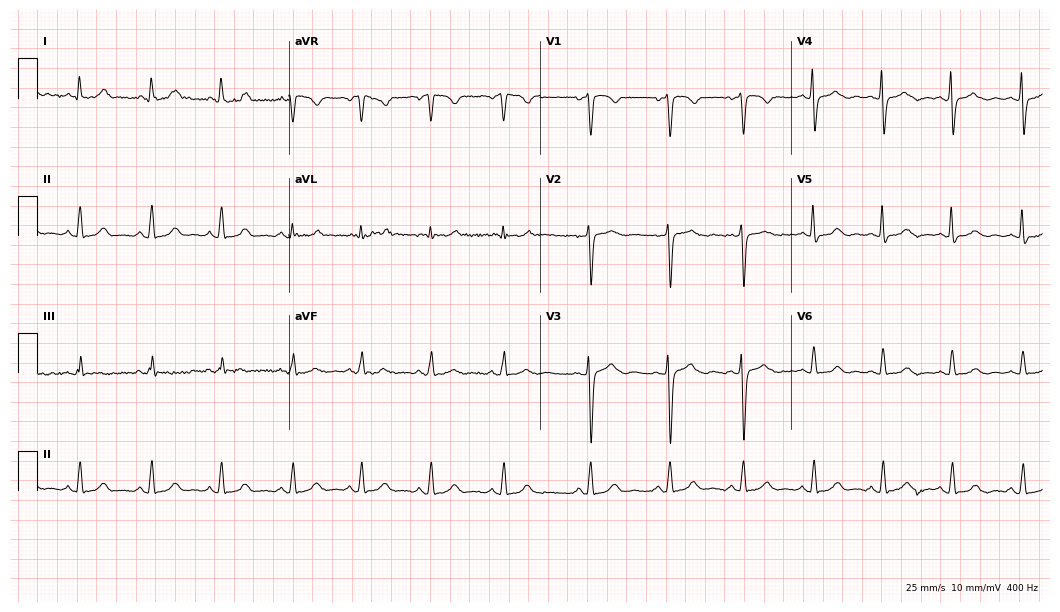
Electrocardiogram (10.2-second recording at 400 Hz), a 39-year-old woman. Overall reading on record: normal ECG.